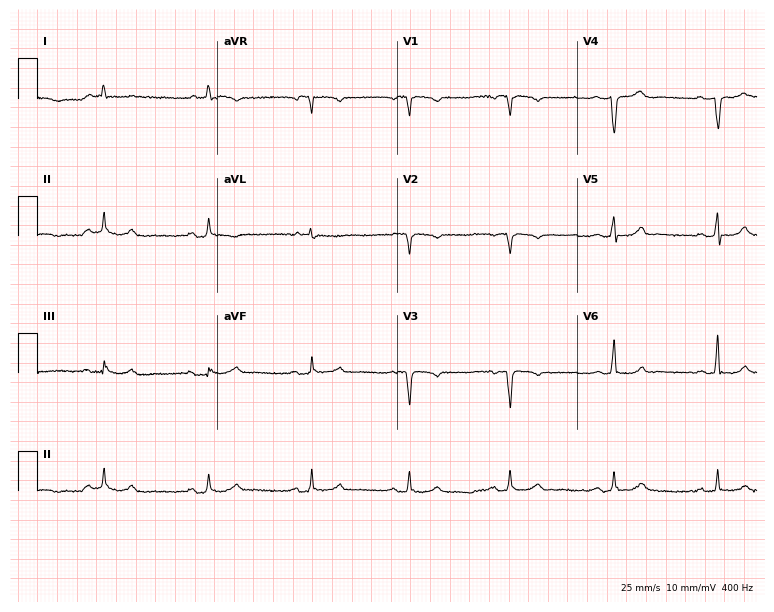
12-lead ECG from a 59-year-old woman. Screened for six findings — first-degree AV block, right bundle branch block, left bundle branch block, sinus bradycardia, atrial fibrillation, sinus tachycardia — none is recorded. Other findings, if any, are not listed.